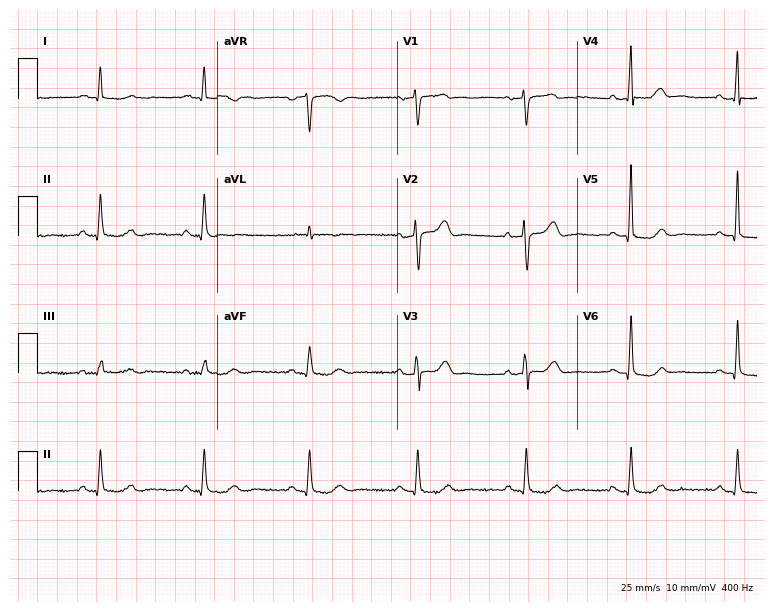
12-lead ECG from a 77-year-old male. No first-degree AV block, right bundle branch block, left bundle branch block, sinus bradycardia, atrial fibrillation or sinus tachycardia recorded for this tracing. Only these six findings were labelled.